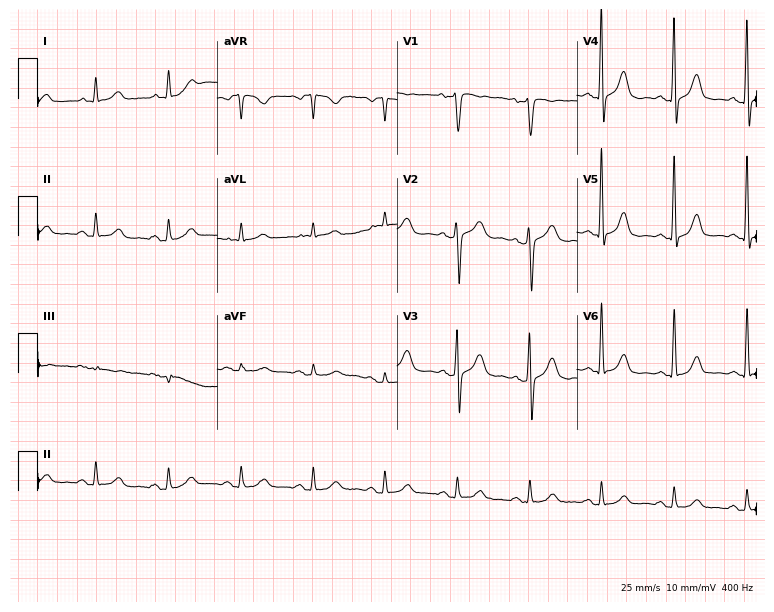
12-lead ECG from a man, 74 years old. No first-degree AV block, right bundle branch block (RBBB), left bundle branch block (LBBB), sinus bradycardia, atrial fibrillation (AF) or sinus tachycardia recorded for this tracing.